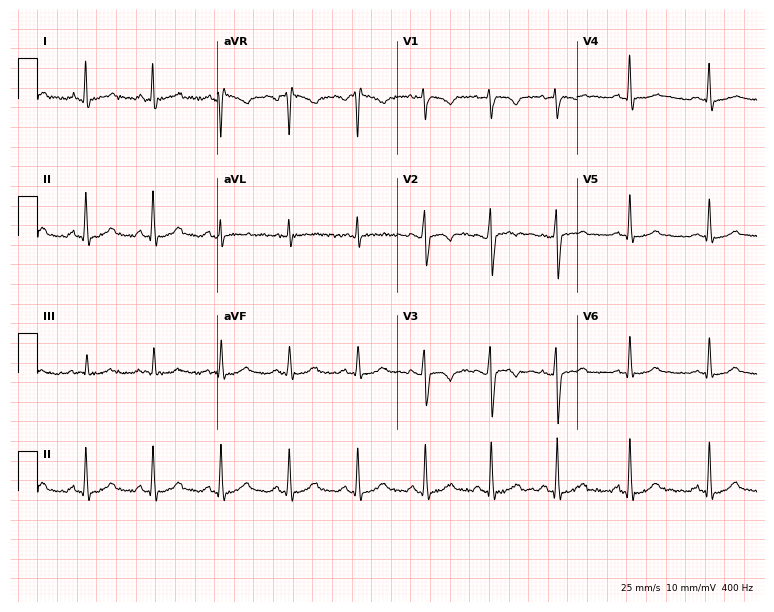
12-lead ECG from a 29-year-old female patient (7.3-second recording at 400 Hz). Recorded interpretation: within normal limits.